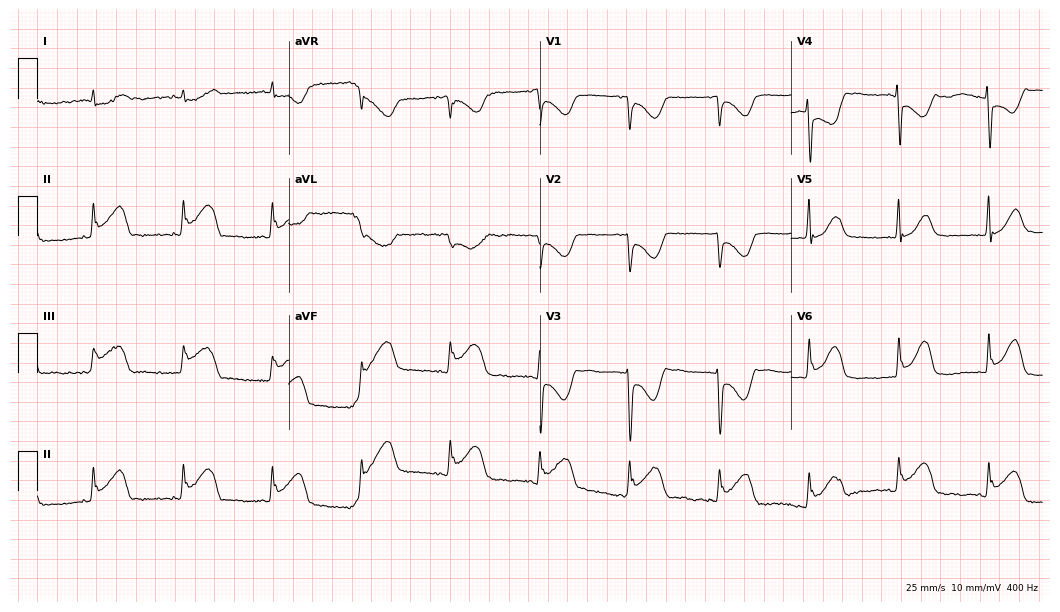
12-lead ECG from a 52-year-old female. No first-degree AV block, right bundle branch block, left bundle branch block, sinus bradycardia, atrial fibrillation or sinus tachycardia recorded for this tracing.